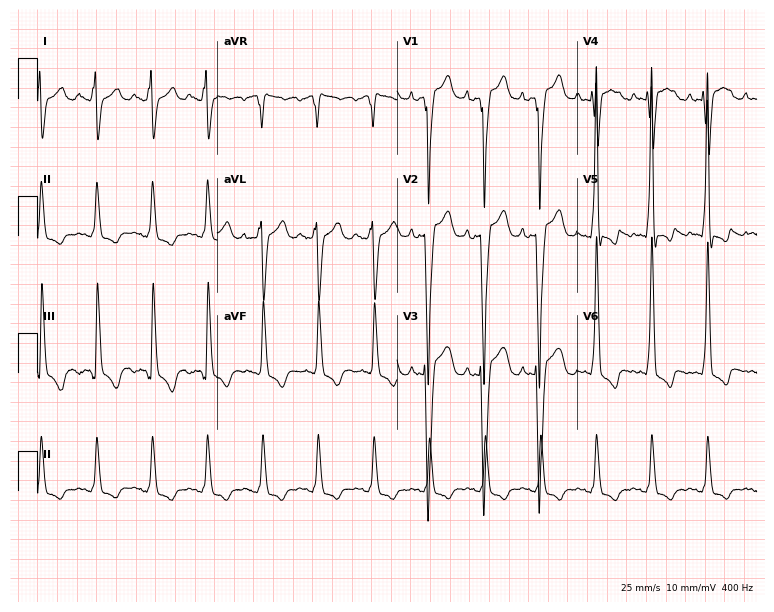
Resting 12-lead electrocardiogram (7.3-second recording at 400 Hz). Patient: a male, 70 years old. The tracing shows sinus tachycardia (a sinus rate of 100 beats per minute or more).